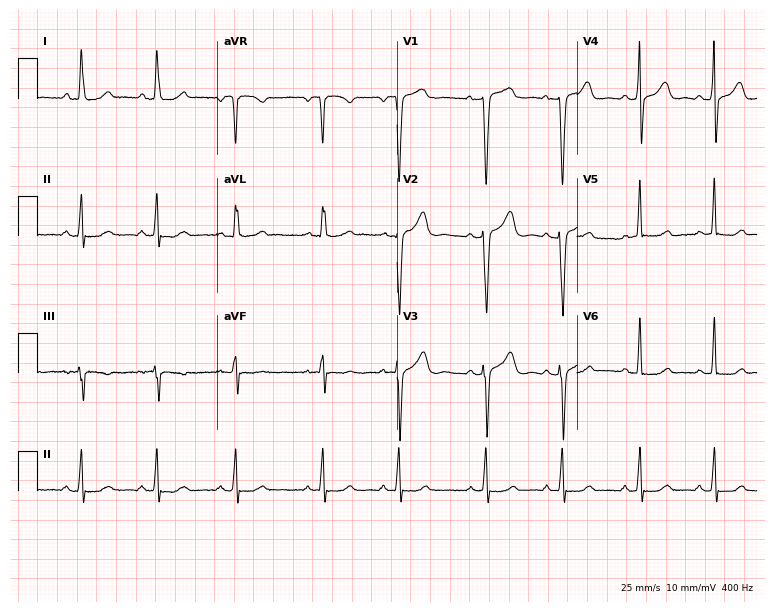
Resting 12-lead electrocardiogram (7.3-second recording at 400 Hz). Patient: a 45-year-old female. Read as a normal ECG.